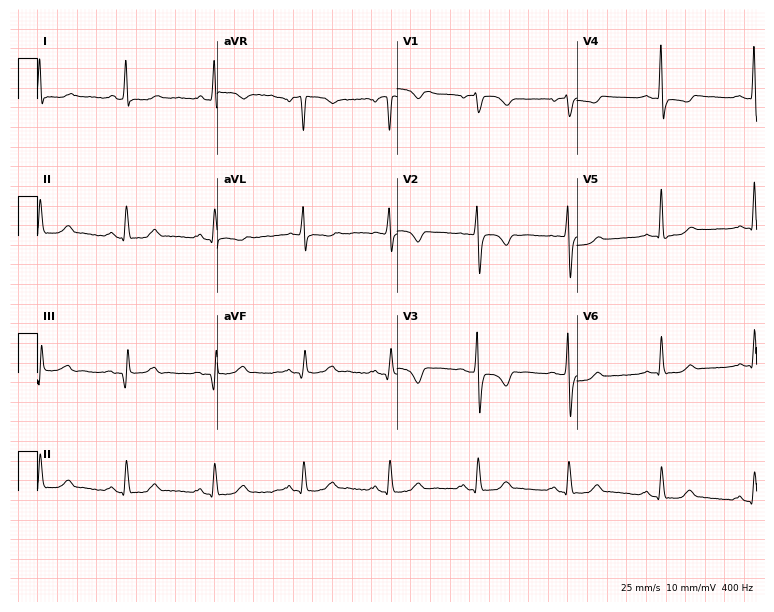
Resting 12-lead electrocardiogram. Patient: a woman, 59 years old. None of these six findings is recorded: first-degree AV block, right bundle branch block, left bundle branch block, sinus bradycardia, atrial fibrillation, sinus tachycardia. Only these six findings were labelled.